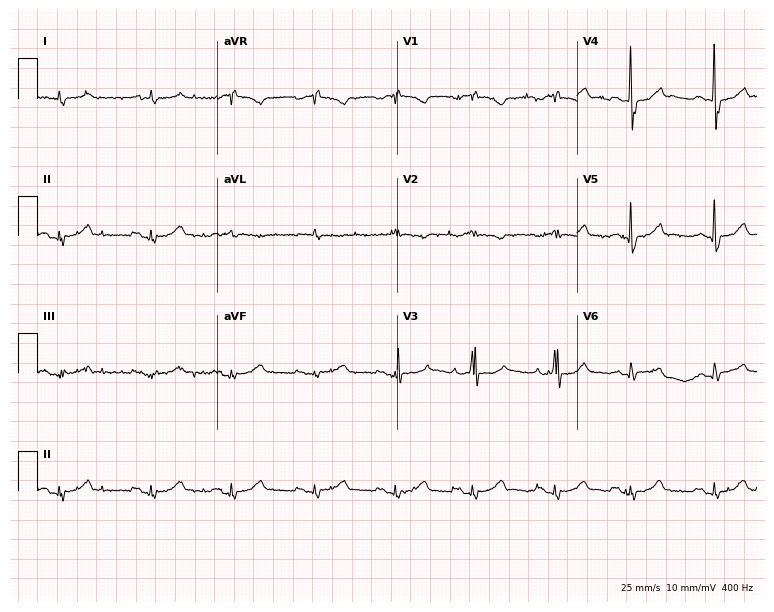
Standard 12-lead ECG recorded from a male patient, 83 years old. None of these six findings is recorded: first-degree AV block, right bundle branch block (RBBB), left bundle branch block (LBBB), sinus bradycardia, atrial fibrillation (AF), sinus tachycardia.